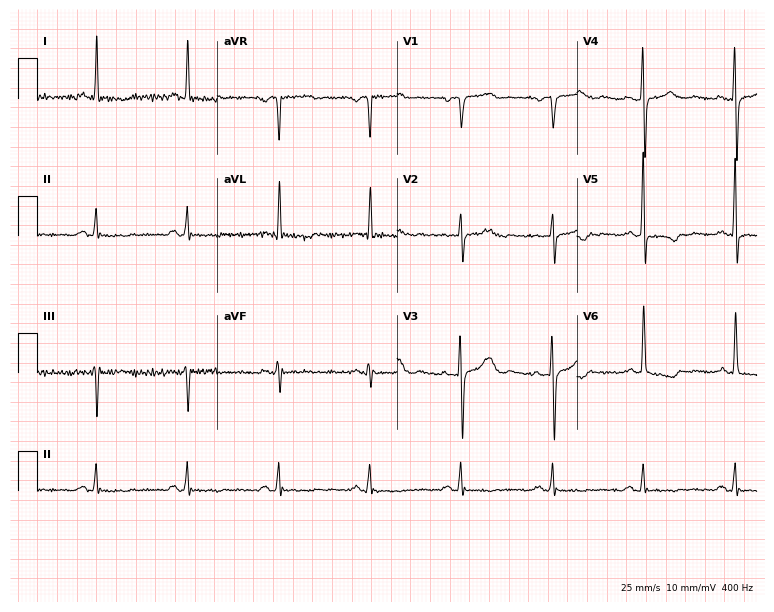
12-lead ECG (7.3-second recording at 400 Hz) from a woman, 67 years old. Screened for six findings — first-degree AV block, right bundle branch block, left bundle branch block, sinus bradycardia, atrial fibrillation, sinus tachycardia — none is recorded. Other findings, if any, are not listed.